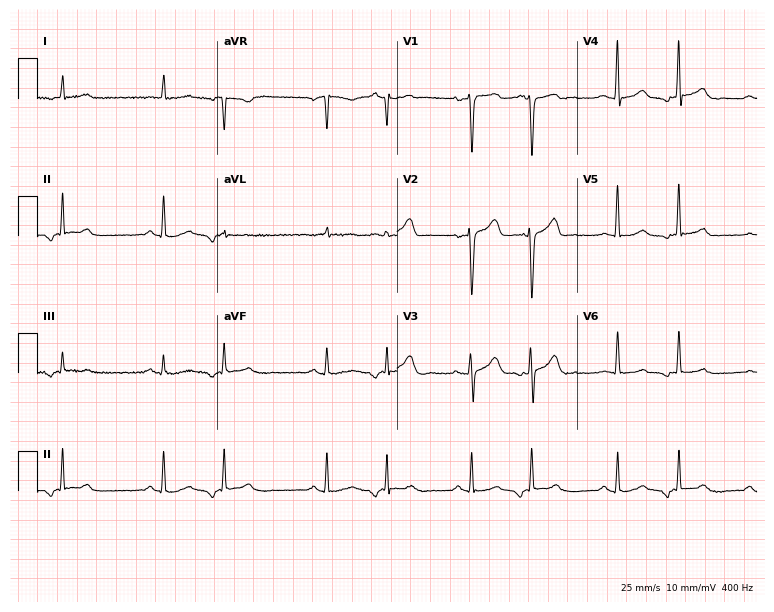
12-lead ECG from a 74-year-old man. No first-degree AV block, right bundle branch block (RBBB), left bundle branch block (LBBB), sinus bradycardia, atrial fibrillation (AF) or sinus tachycardia recorded for this tracing.